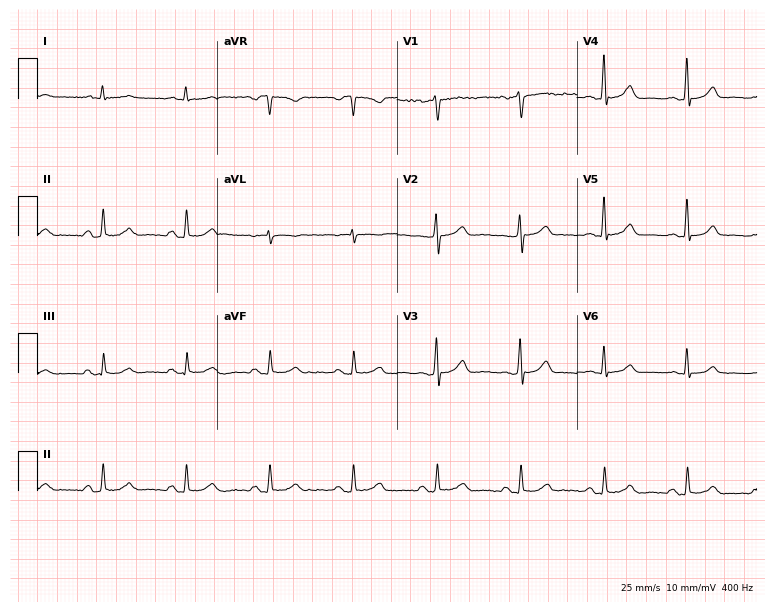
Standard 12-lead ECG recorded from a male, 58 years old. None of these six findings is recorded: first-degree AV block, right bundle branch block (RBBB), left bundle branch block (LBBB), sinus bradycardia, atrial fibrillation (AF), sinus tachycardia. Only these six findings were labelled.